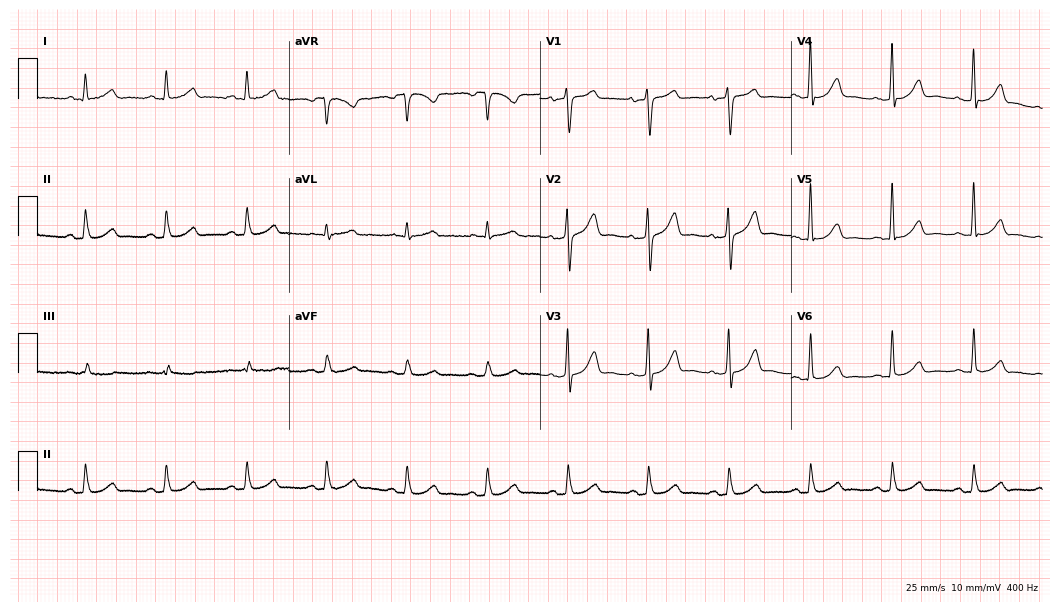
ECG (10.2-second recording at 400 Hz) — a woman, 58 years old. Labelled as a normal ECG.